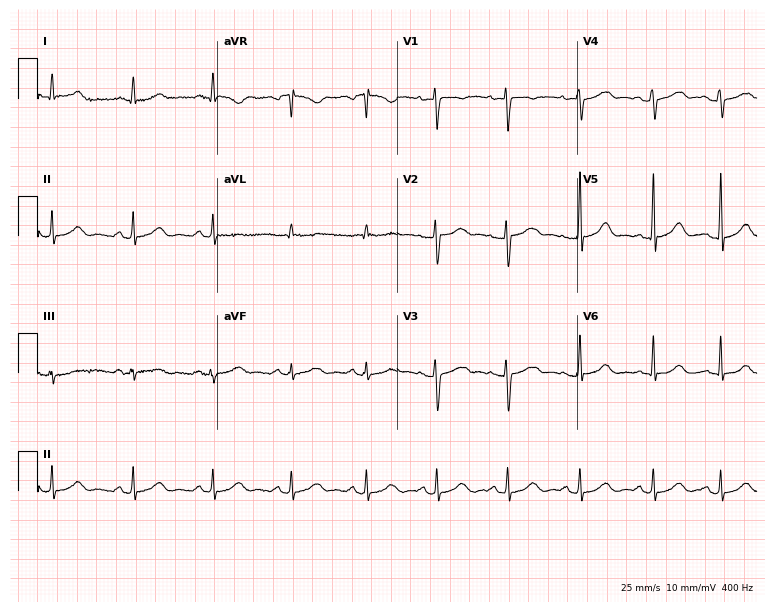
ECG — a 46-year-old female. Labelled as a normal ECG.